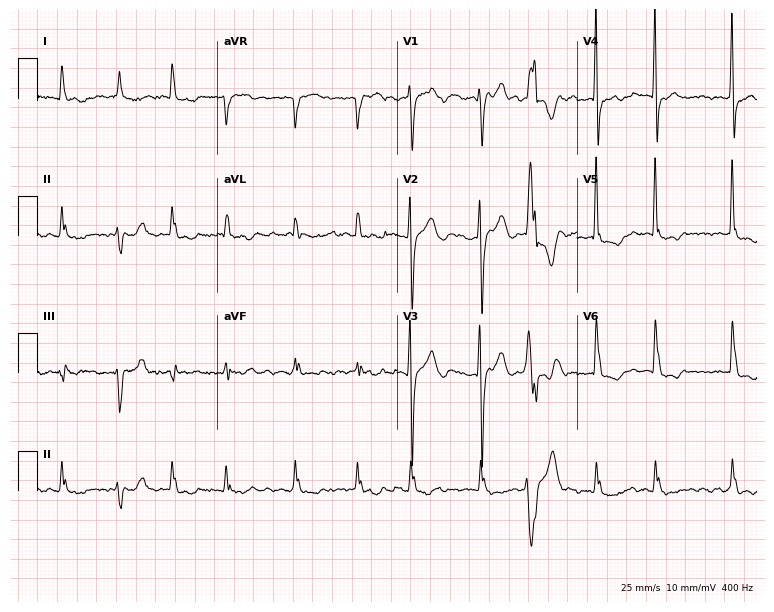
12-lead ECG from an 82-year-old woman (7.3-second recording at 400 Hz). Shows atrial fibrillation.